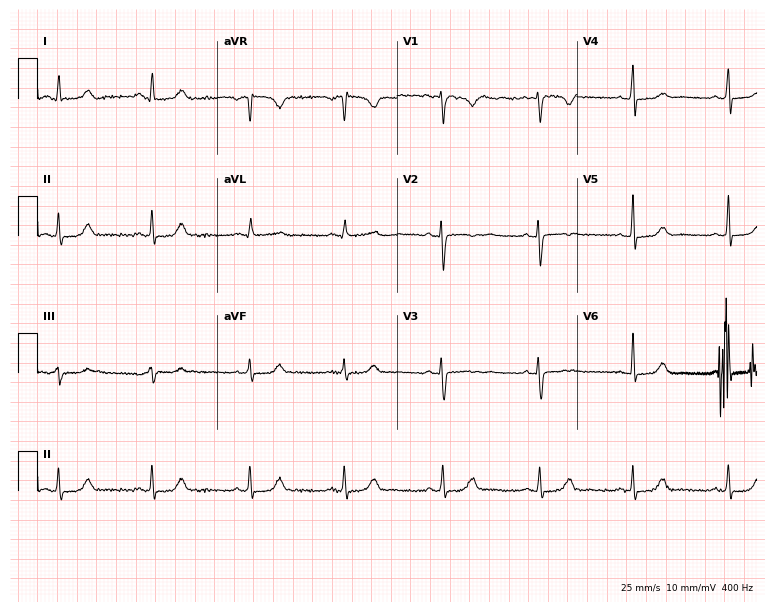
12-lead ECG from a 25-year-old woman. Recorded interpretation: within normal limits.